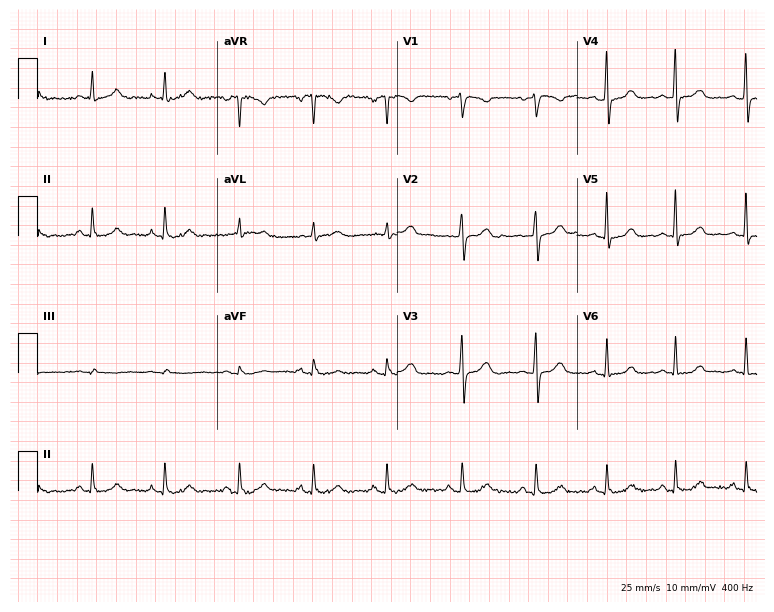
Resting 12-lead electrocardiogram (7.3-second recording at 400 Hz). Patient: a 30-year-old woman. None of these six findings is recorded: first-degree AV block, right bundle branch block, left bundle branch block, sinus bradycardia, atrial fibrillation, sinus tachycardia.